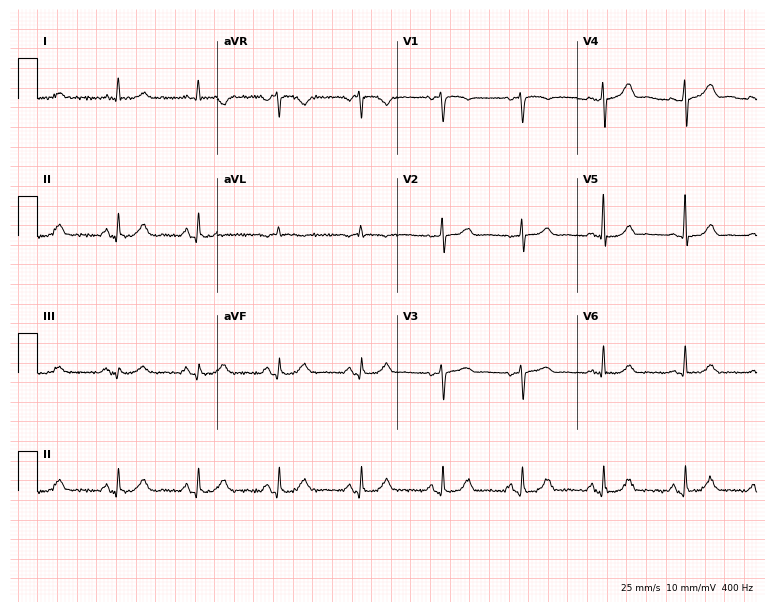
ECG — a woman, 64 years old. Labelled as a normal ECG.